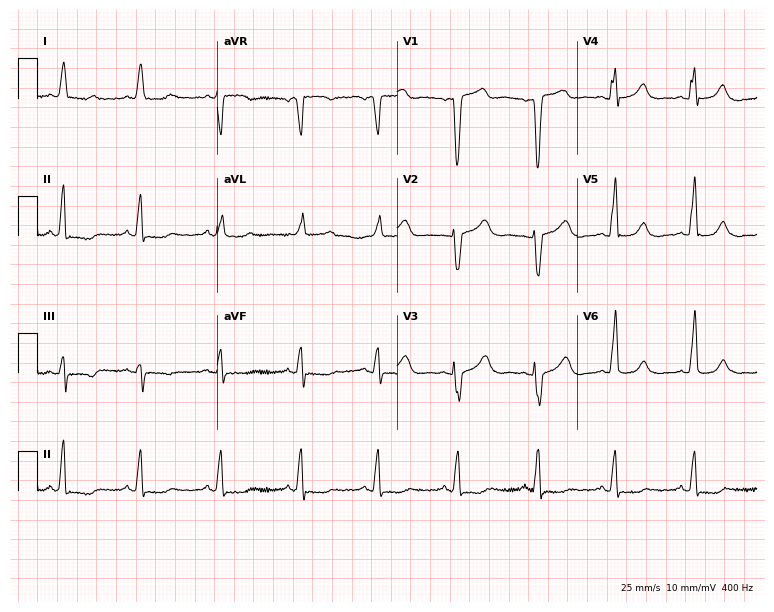
ECG (7.3-second recording at 400 Hz) — a female, 85 years old. Findings include left bundle branch block (LBBB).